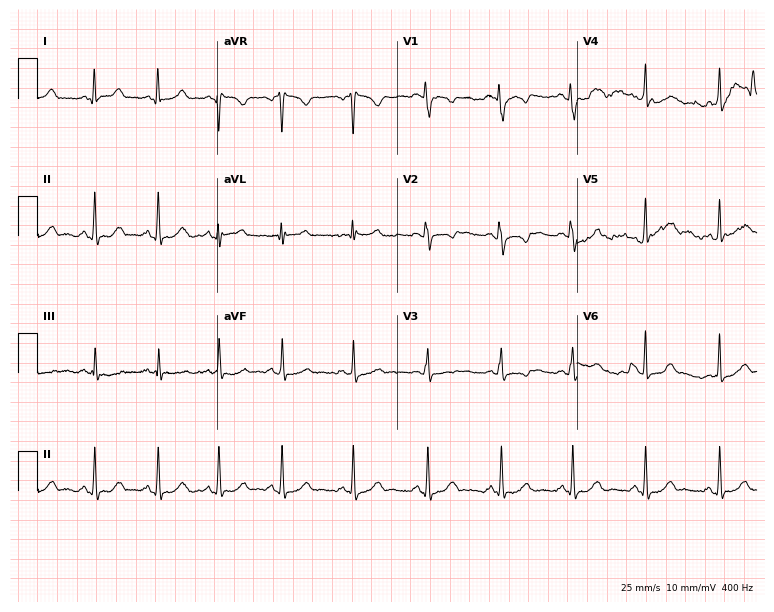
12-lead ECG (7.3-second recording at 400 Hz) from a 22-year-old female patient. Labelled as a normal ECG.